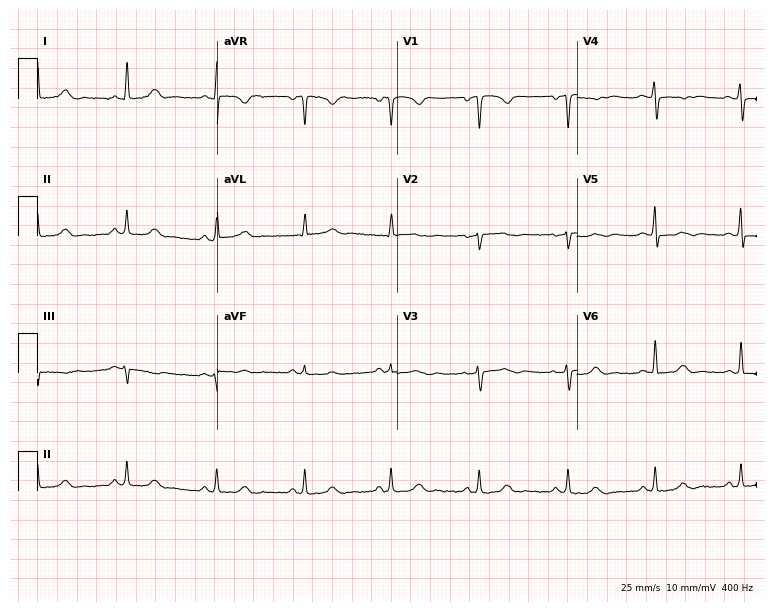
Electrocardiogram (7.3-second recording at 400 Hz), a 41-year-old woman. Of the six screened findings (first-degree AV block, right bundle branch block (RBBB), left bundle branch block (LBBB), sinus bradycardia, atrial fibrillation (AF), sinus tachycardia), none is recorded.